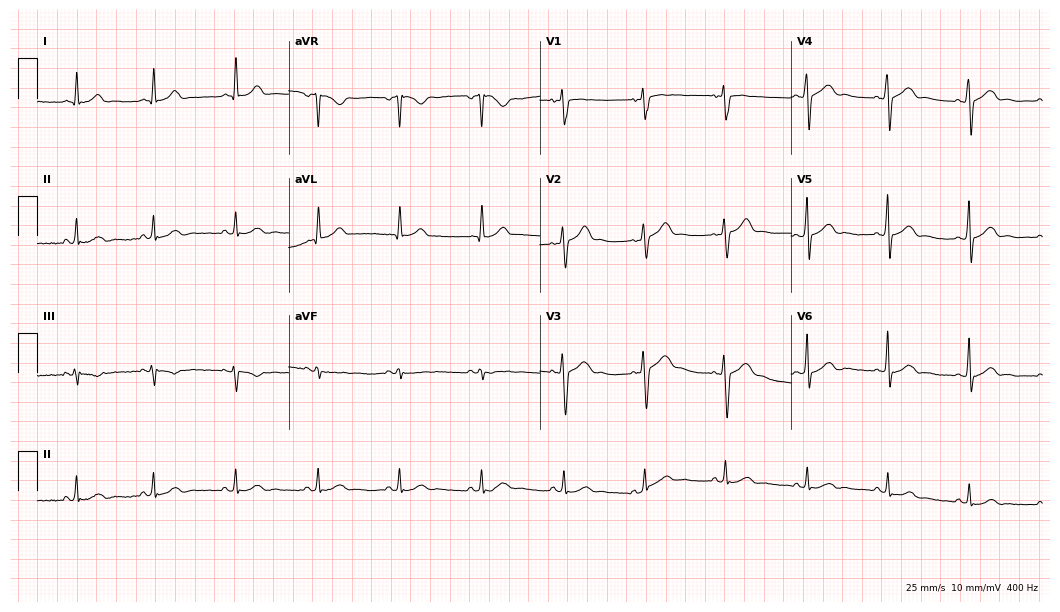
Electrocardiogram (10.2-second recording at 400 Hz), a 46-year-old male patient. Overall reading on record: normal ECG.